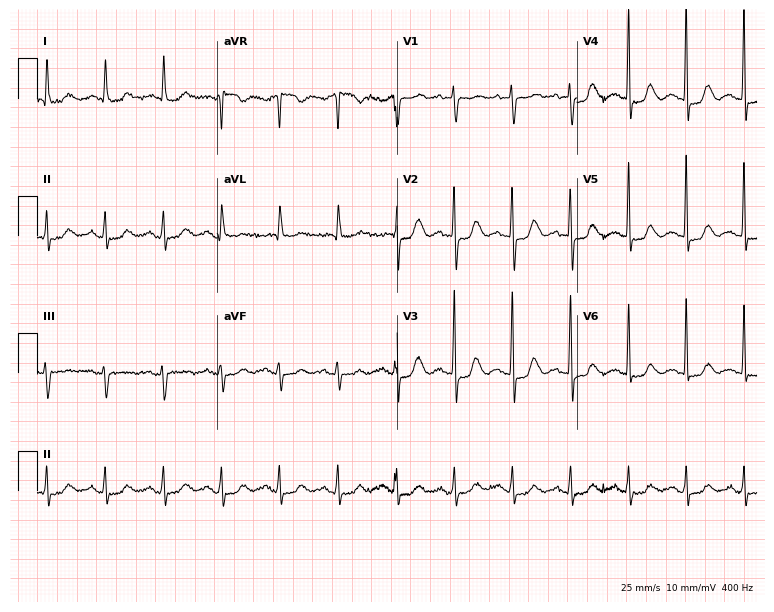
12-lead ECG from a female, 85 years old (7.3-second recording at 400 Hz). Shows sinus tachycardia (a sinus rate of 100 beats per minute or more).